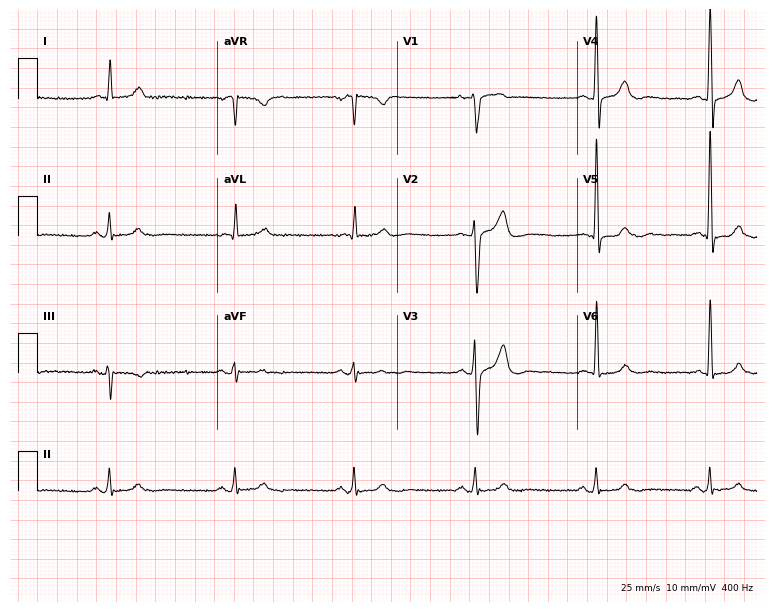
Resting 12-lead electrocardiogram (7.3-second recording at 400 Hz). Patient: a 64-year-old man. The tracing shows sinus bradycardia (a sinus rate of 50 beats per minute or less).